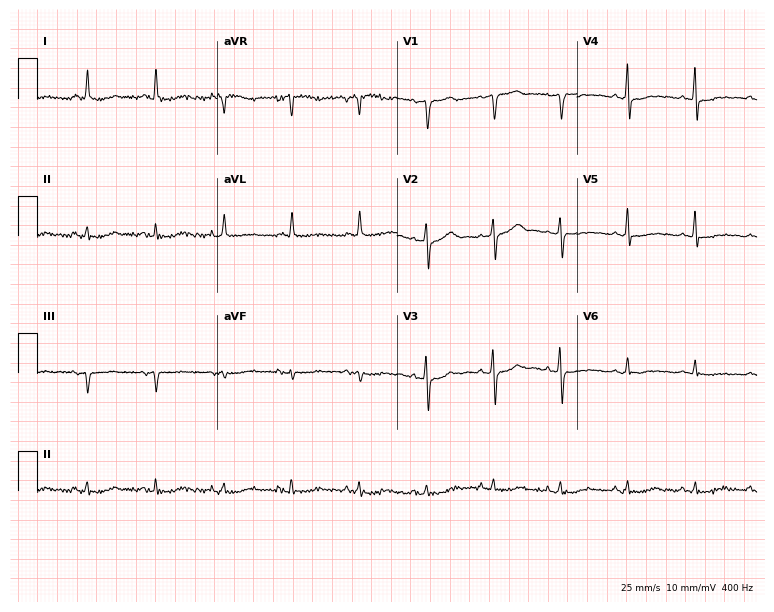
Resting 12-lead electrocardiogram. Patient: a 69-year-old female. None of these six findings is recorded: first-degree AV block, right bundle branch block (RBBB), left bundle branch block (LBBB), sinus bradycardia, atrial fibrillation (AF), sinus tachycardia. Other findings, if any, are not listed.